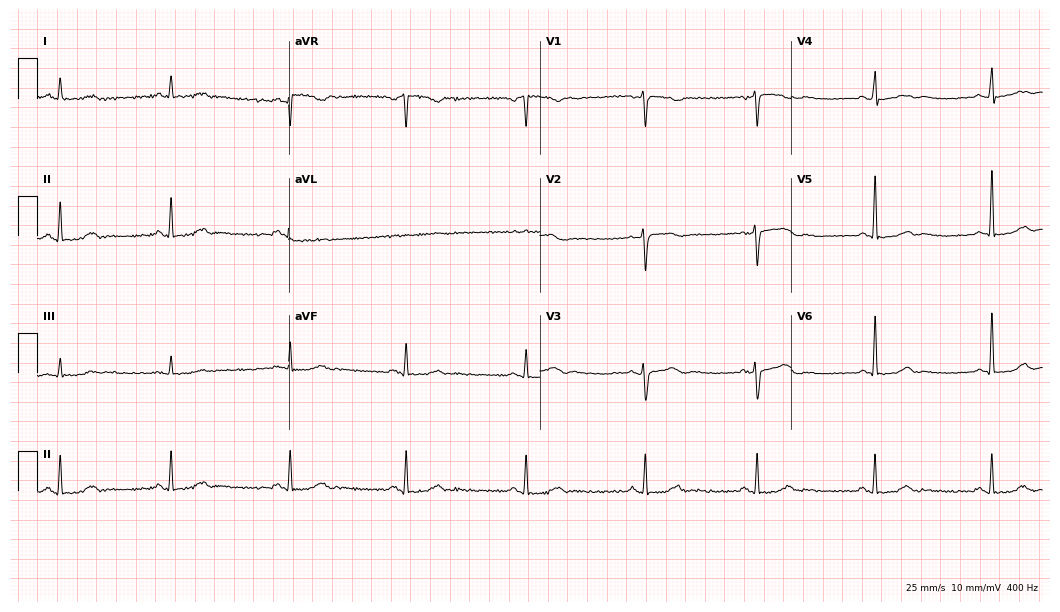
12-lead ECG from a female patient, 54 years old. Screened for six findings — first-degree AV block, right bundle branch block (RBBB), left bundle branch block (LBBB), sinus bradycardia, atrial fibrillation (AF), sinus tachycardia — none is recorded. Other findings, if any, are not listed.